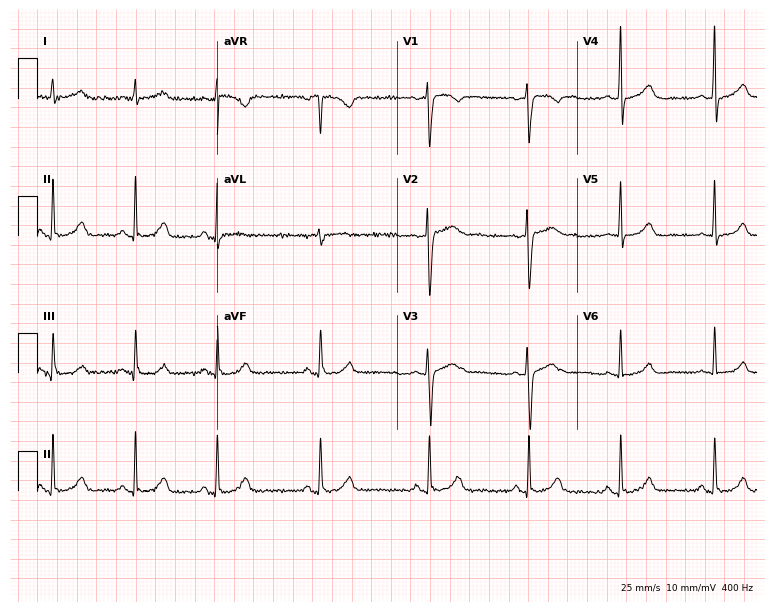
Electrocardiogram, a woman, 49 years old. Of the six screened findings (first-degree AV block, right bundle branch block, left bundle branch block, sinus bradycardia, atrial fibrillation, sinus tachycardia), none is recorded. Other findings, if any, are not listed.